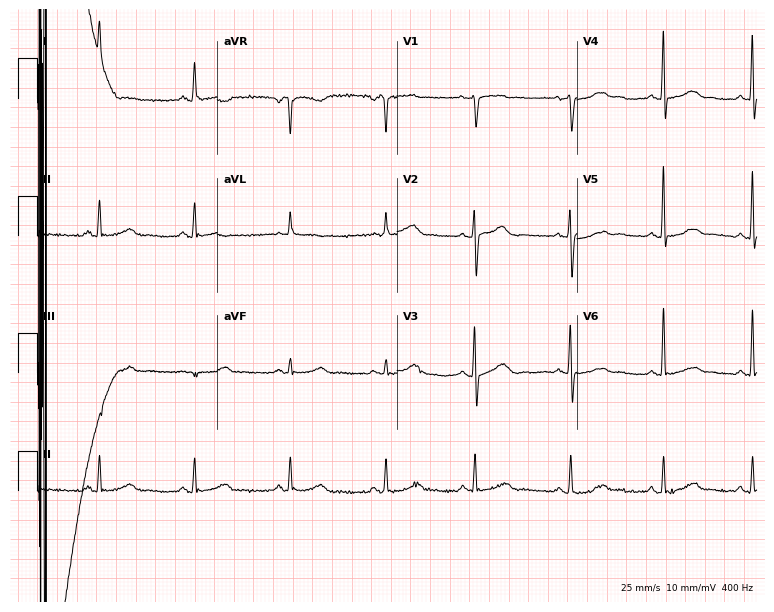
Electrocardiogram, a woman, 70 years old. Overall reading on record: normal ECG.